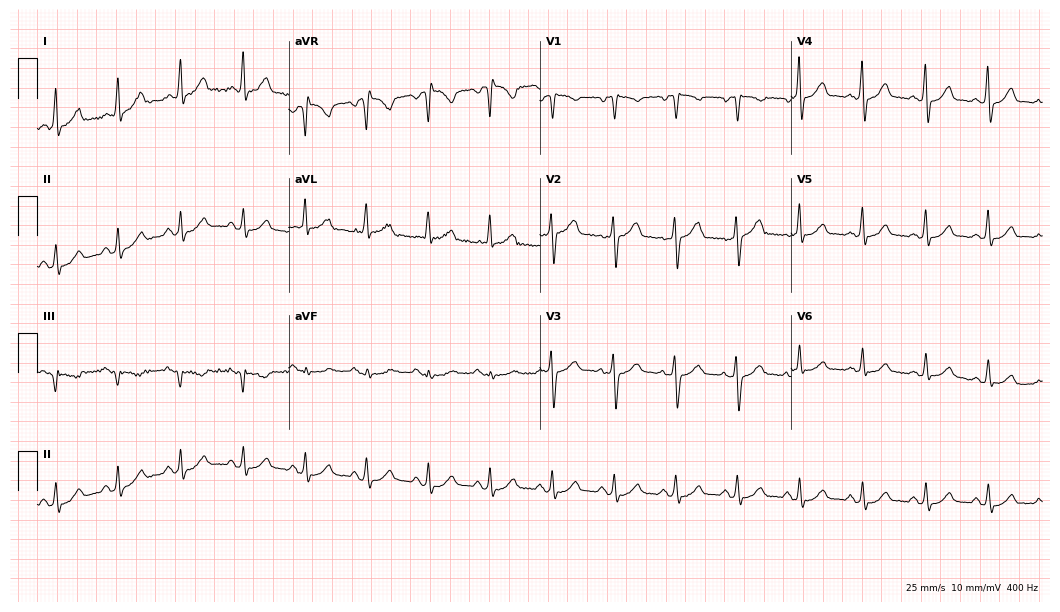
12-lead ECG (10.2-second recording at 400 Hz) from a 61-year-old female. Labelled as a normal ECG.